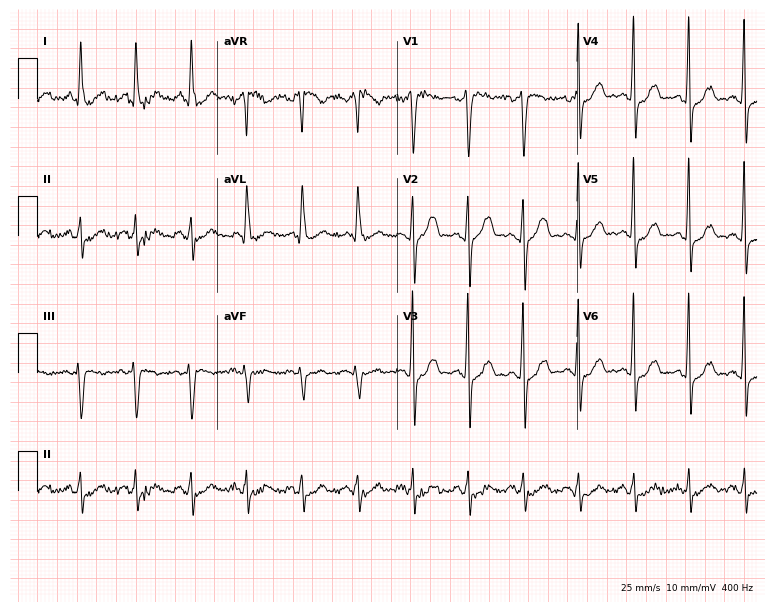
Standard 12-lead ECG recorded from a 57-year-old male patient. The tracing shows sinus tachycardia (a sinus rate of 100 beats per minute or more).